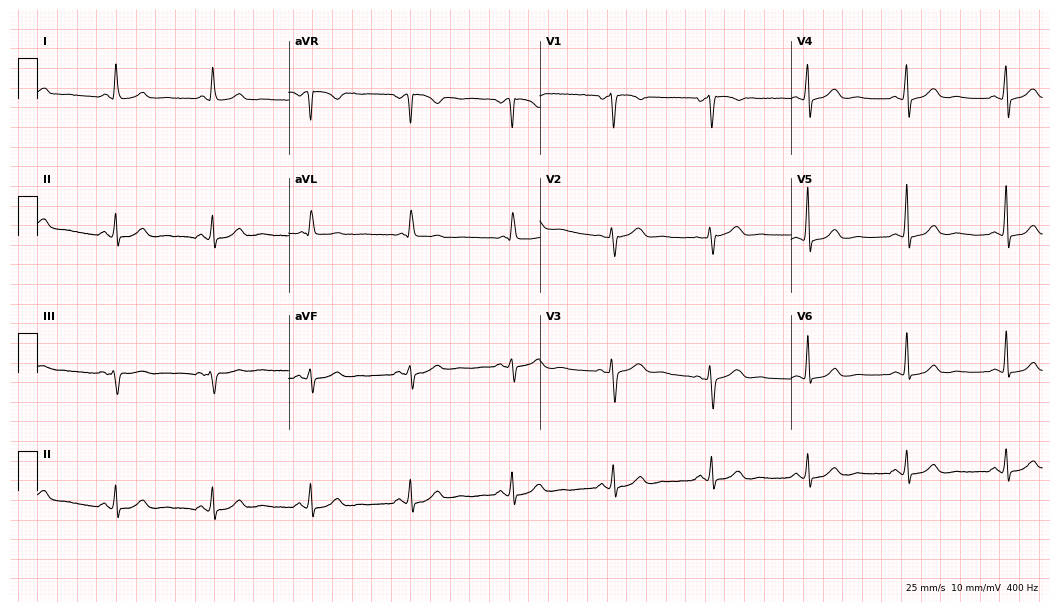
Electrocardiogram (10.2-second recording at 400 Hz), a 56-year-old female patient. Of the six screened findings (first-degree AV block, right bundle branch block, left bundle branch block, sinus bradycardia, atrial fibrillation, sinus tachycardia), none is recorded.